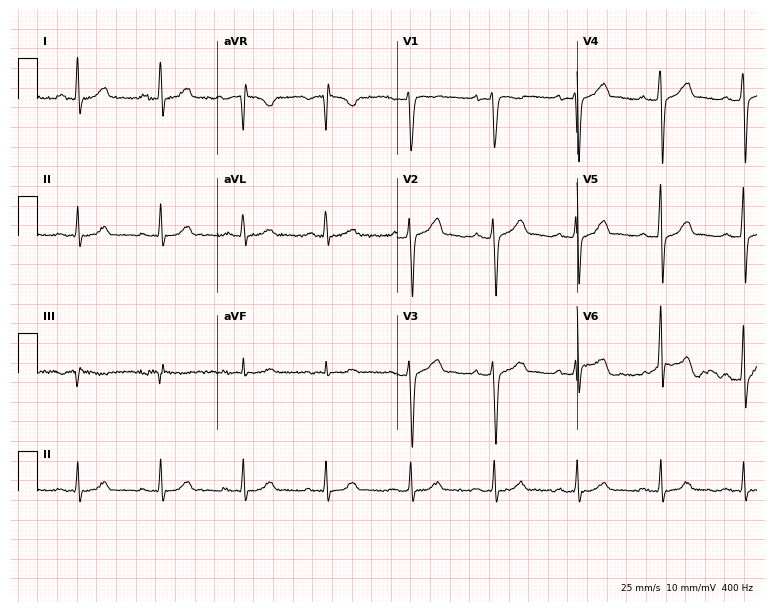
12-lead ECG from a male patient, 36 years old. Recorded interpretation: within normal limits.